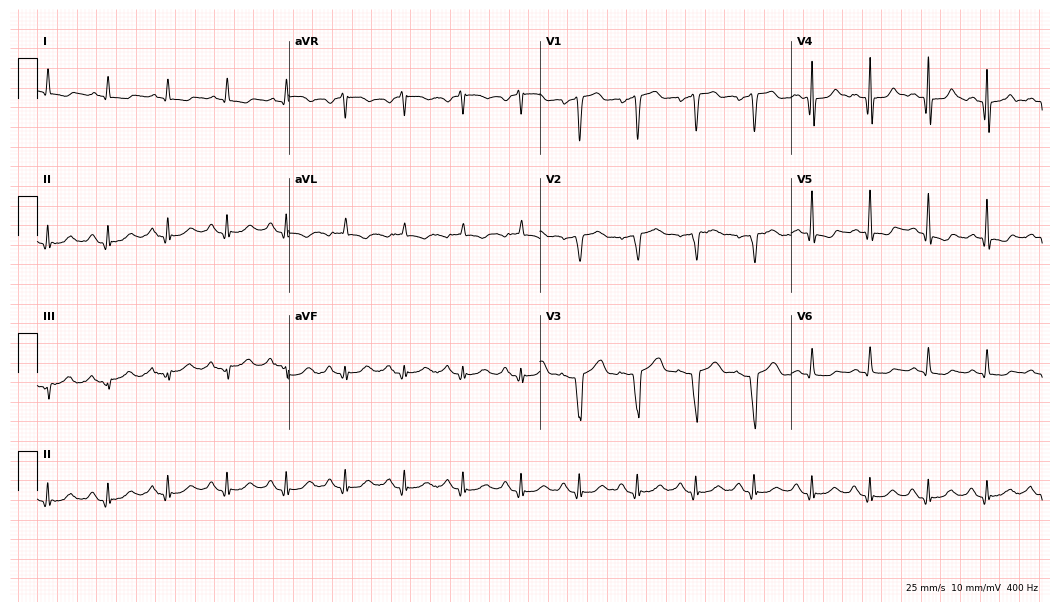
Resting 12-lead electrocardiogram (10.2-second recording at 400 Hz). Patient: a 52-year-old man. The tracing shows sinus tachycardia (a sinus rate of 100 beats per minute or more).